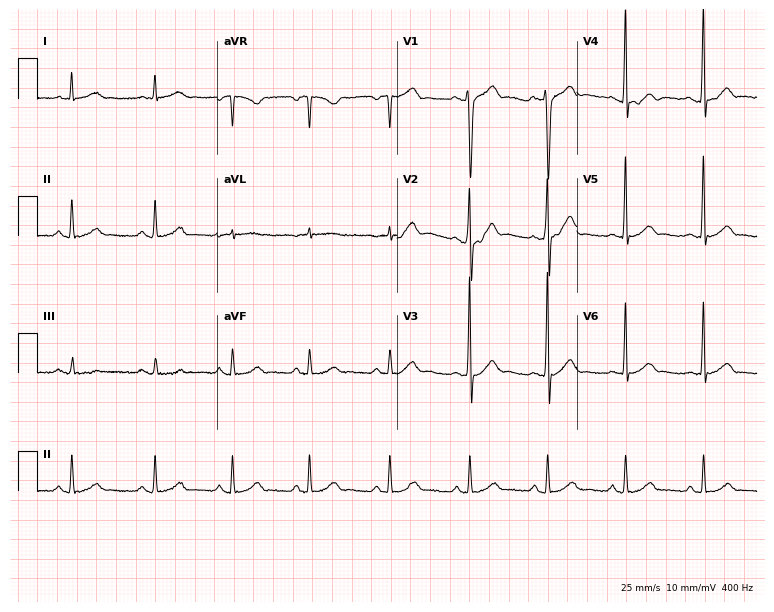
12-lead ECG from a 44-year-old male. Recorded interpretation: within normal limits.